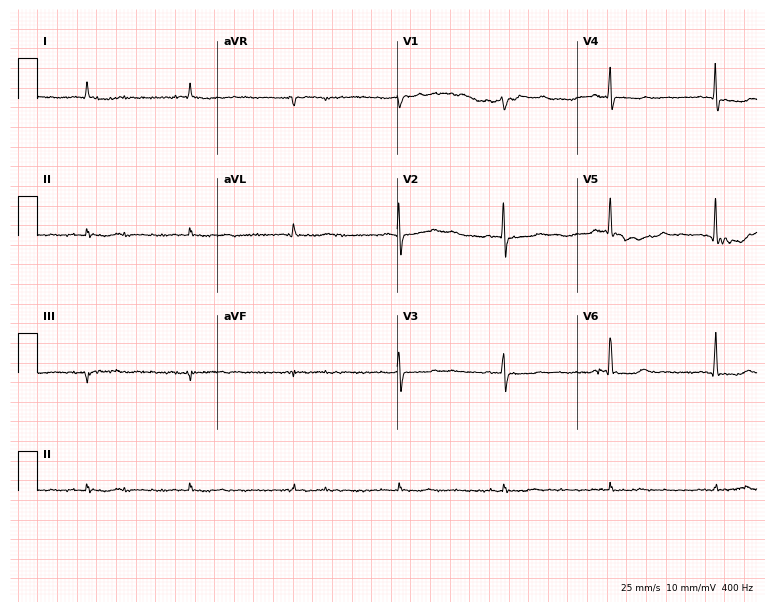
Standard 12-lead ECG recorded from a male, 77 years old (7.3-second recording at 400 Hz). None of these six findings is recorded: first-degree AV block, right bundle branch block (RBBB), left bundle branch block (LBBB), sinus bradycardia, atrial fibrillation (AF), sinus tachycardia. Other findings, if any, are not listed.